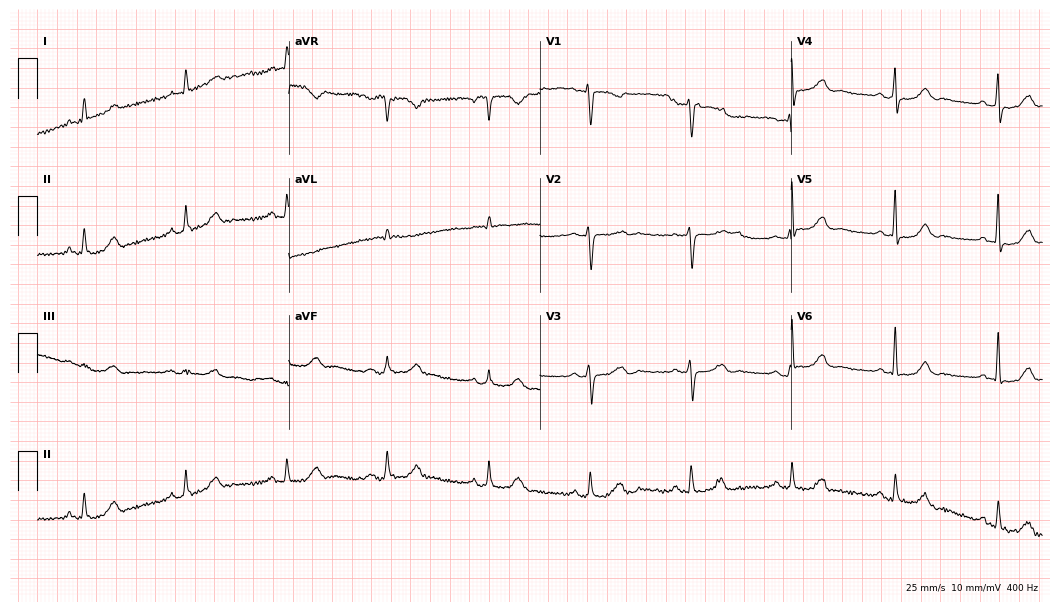
Resting 12-lead electrocardiogram (10.2-second recording at 400 Hz). Patient: a female, 52 years old. None of these six findings is recorded: first-degree AV block, right bundle branch block, left bundle branch block, sinus bradycardia, atrial fibrillation, sinus tachycardia.